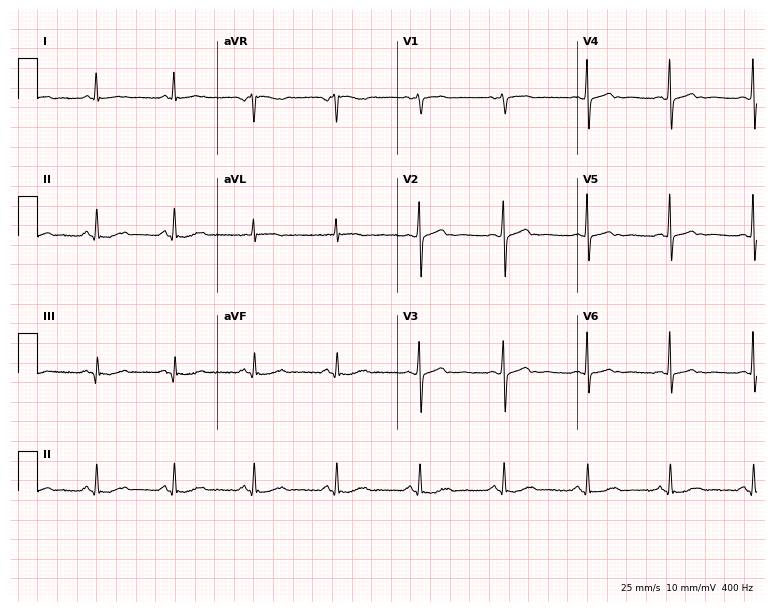
Standard 12-lead ECG recorded from a 56-year-old female patient. None of these six findings is recorded: first-degree AV block, right bundle branch block, left bundle branch block, sinus bradycardia, atrial fibrillation, sinus tachycardia.